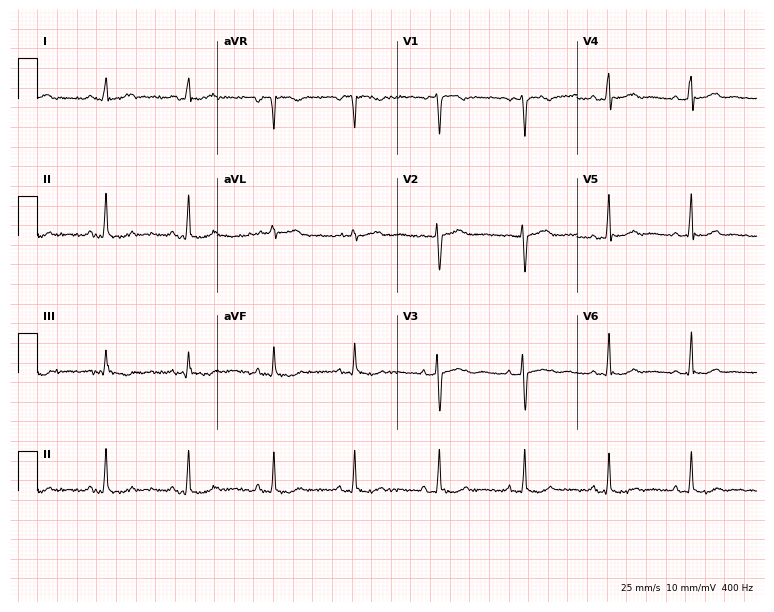
Resting 12-lead electrocardiogram (7.3-second recording at 400 Hz). Patient: a 51-year-old female. None of these six findings is recorded: first-degree AV block, right bundle branch block, left bundle branch block, sinus bradycardia, atrial fibrillation, sinus tachycardia.